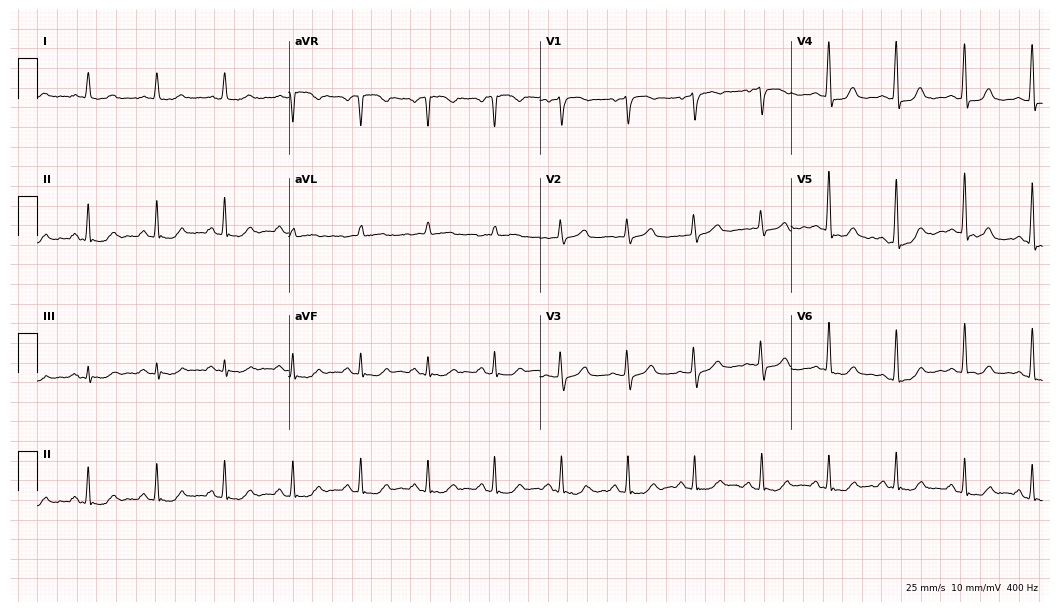
ECG (10.2-second recording at 400 Hz) — a 74-year-old female patient. Screened for six findings — first-degree AV block, right bundle branch block, left bundle branch block, sinus bradycardia, atrial fibrillation, sinus tachycardia — none is recorded.